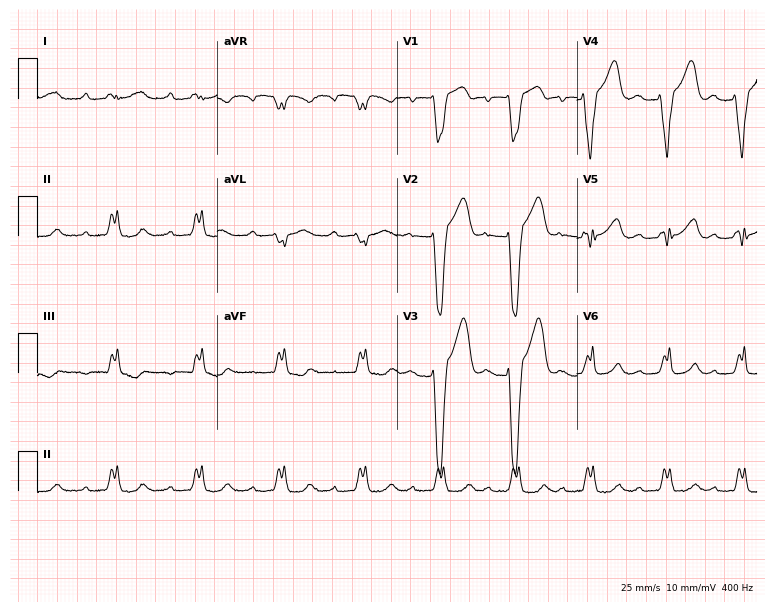
12-lead ECG from a 72-year-old male patient. Findings include first-degree AV block, left bundle branch block (LBBB).